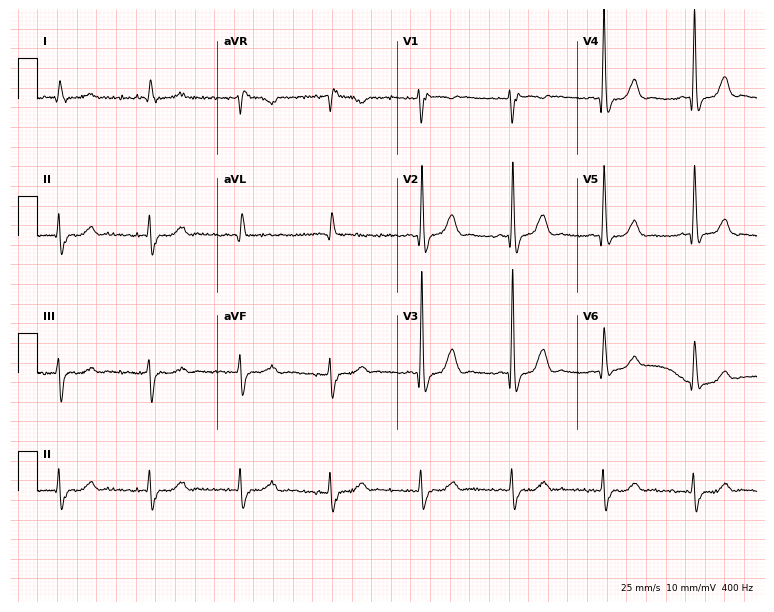
Electrocardiogram, an 84-year-old man. Of the six screened findings (first-degree AV block, right bundle branch block (RBBB), left bundle branch block (LBBB), sinus bradycardia, atrial fibrillation (AF), sinus tachycardia), none is recorded.